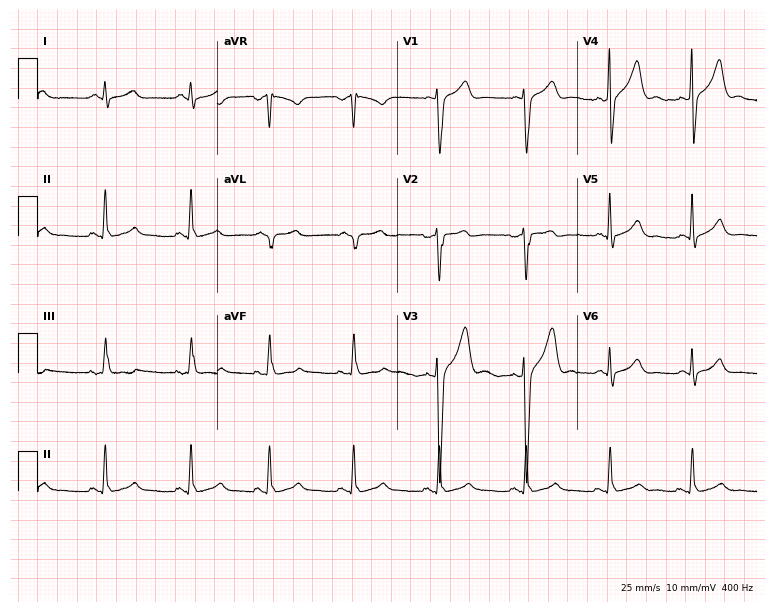
Electrocardiogram (7.3-second recording at 400 Hz), a male patient, 43 years old. Overall reading on record: normal ECG.